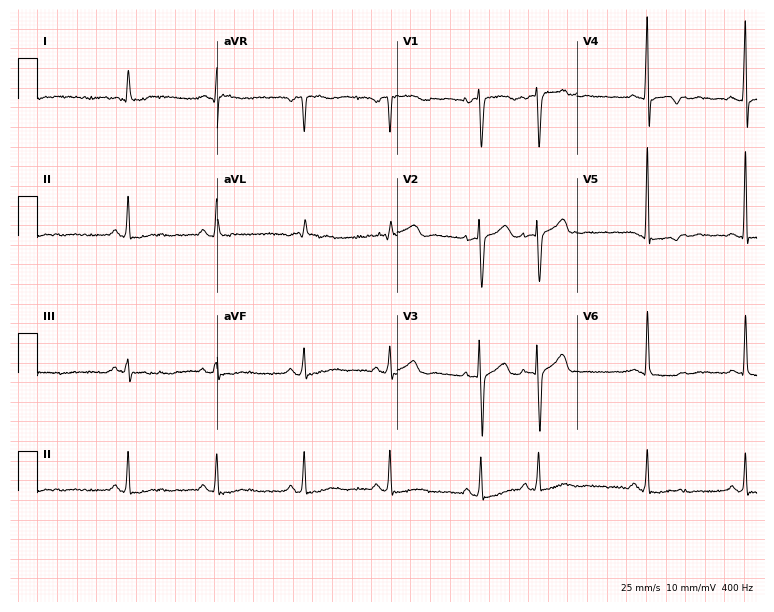
Electrocardiogram, a 74-year-old male patient. Of the six screened findings (first-degree AV block, right bundle branch block, left bundle branch block, sinus bradycardia, atrial fibrillation, sinus tachycardia), none is recorded.